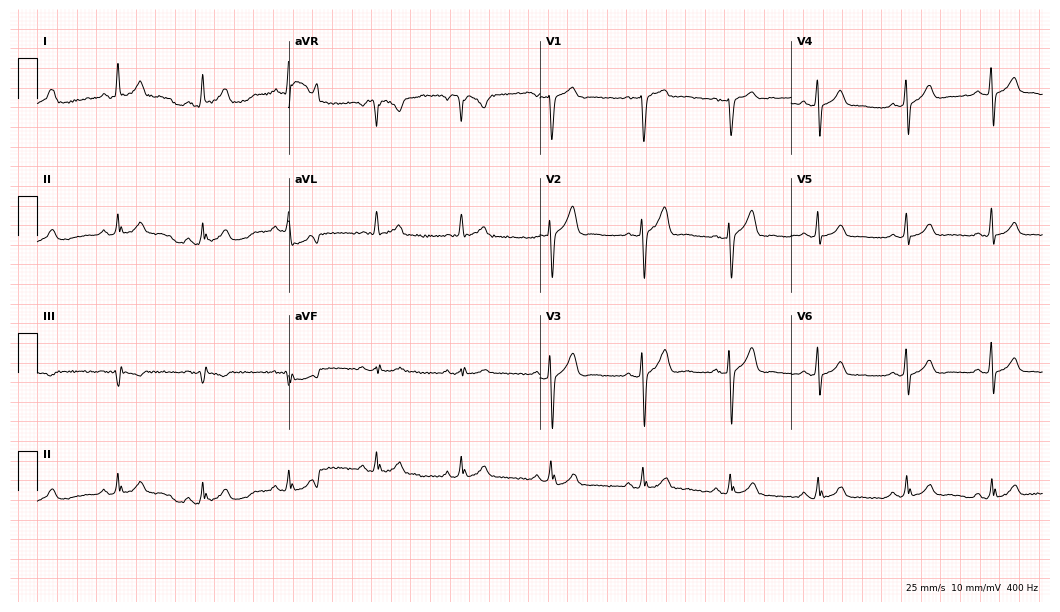
12-lead ECG (10.2-second recording at 400 Hz) from a 47-year-old male. Labelled as a normal ECG.